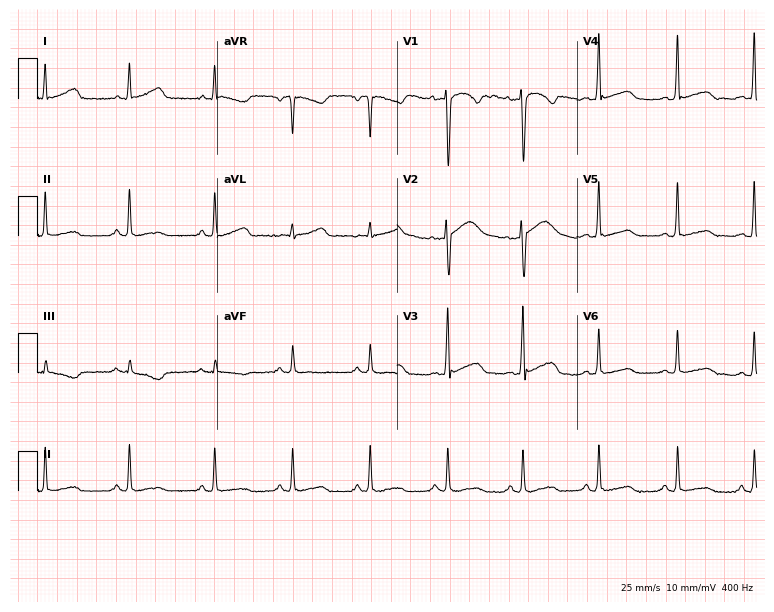
Standard 12-lead ECG recorded from a male patient, 30 years old (7.3-second recording at 400 Hz). None of these six findings is recorded: first-degree AV block, right bundle branch block, left bundle branch block, sinus bradycardia, atrial fibrillation, sinus tachycardia. Other findings, if any, are not listed.